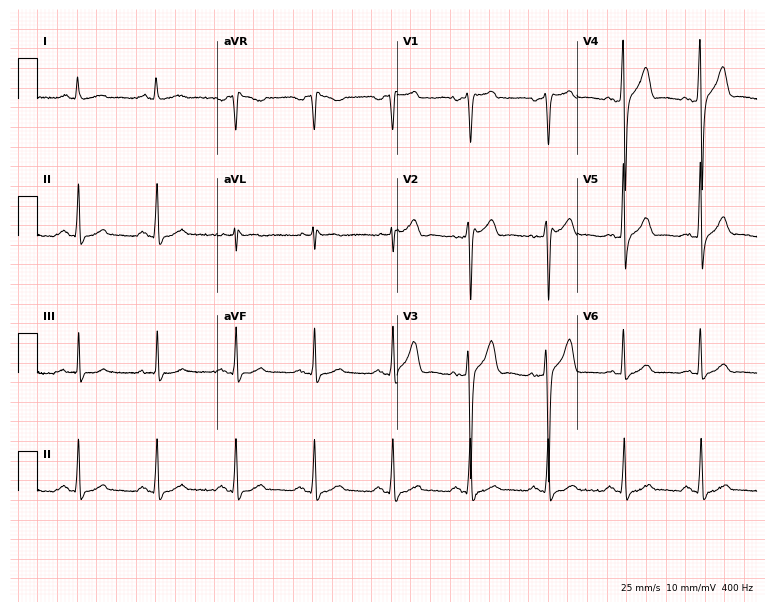
Resting 12-lead electrocardiogram (7.3-second recording at 400 Hz). Patient: a 55-year-old man. None of these six findings is recorded: first-degree AV block, right bundle branch block, left bundle branch block, sinus bradycardia, atrial fibrillation, sinus tachycardia.